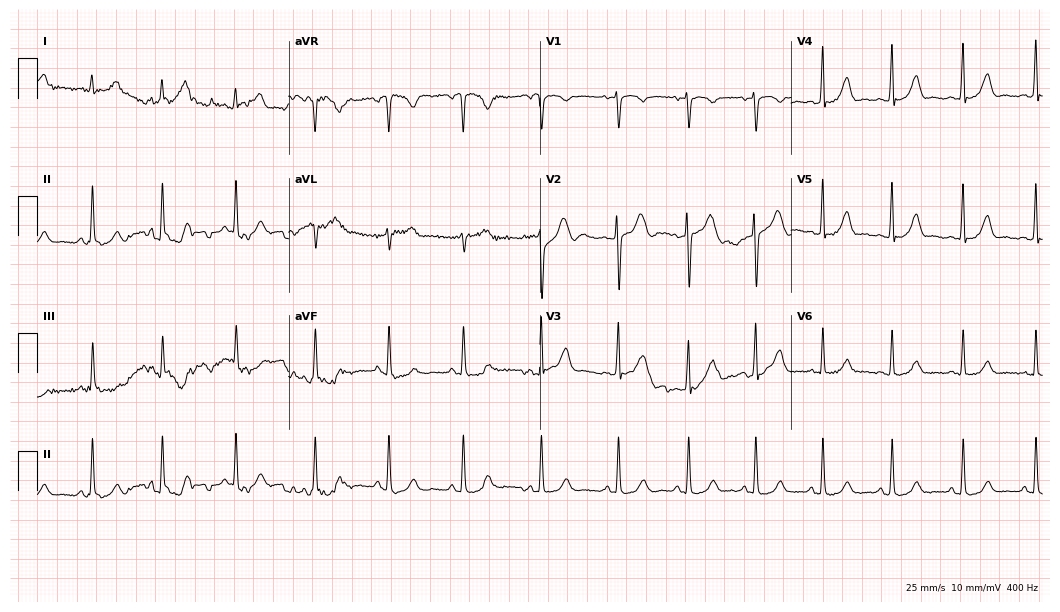
ECG (10.2-second recording at 400 Hz) — a 32-year-old female. Screened for six findings — first-degree AV block, right bundle branch block (RBBB), left bundle branch block (LBBB), sinus bradycardia, atrial fibrillation (AF), sinus tachycardia — none is recorded.